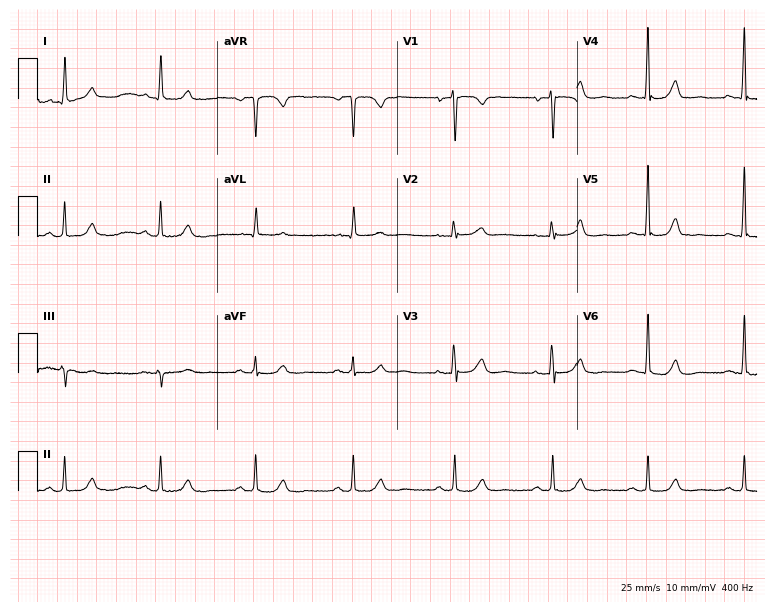
Resting 12-lead electrocardiogram (7.3-second recording at 400 Hz). Patient: a 70-year-old female. Read as a normal ECG.